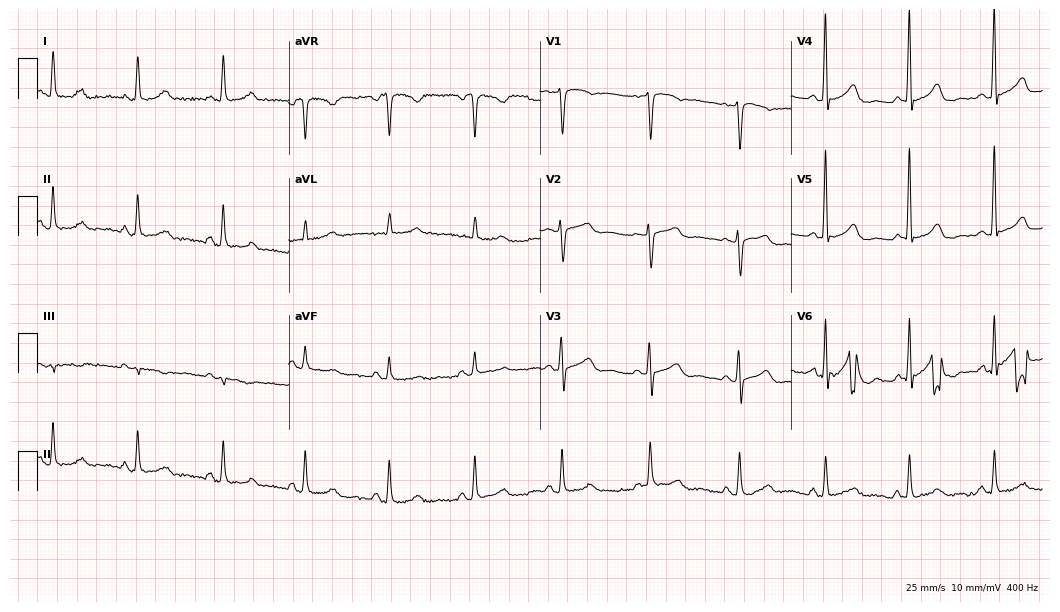
12-lead ECG from a woman, 67 years old. Recorded interpretation: within normal limits.